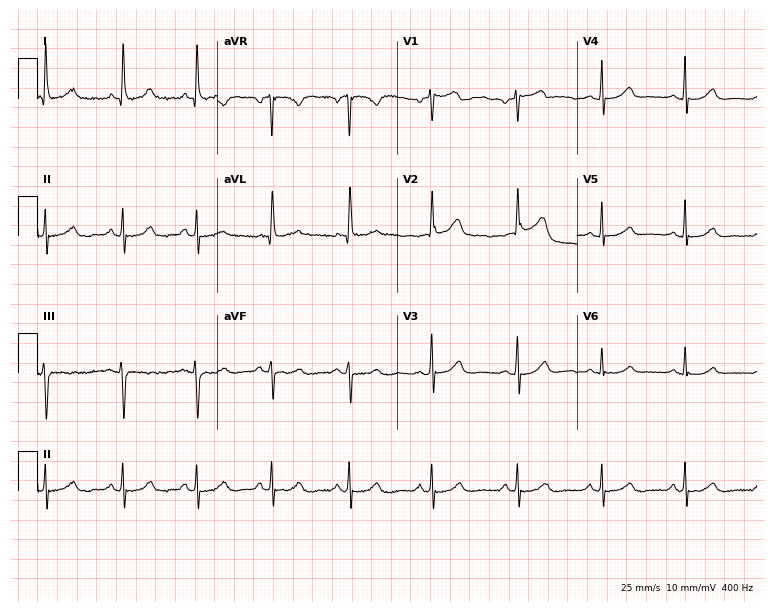
12-lead ECG (7.3-second recording at 400 Hz) from a woman, 59 years old. Labelled as a normal ECG.